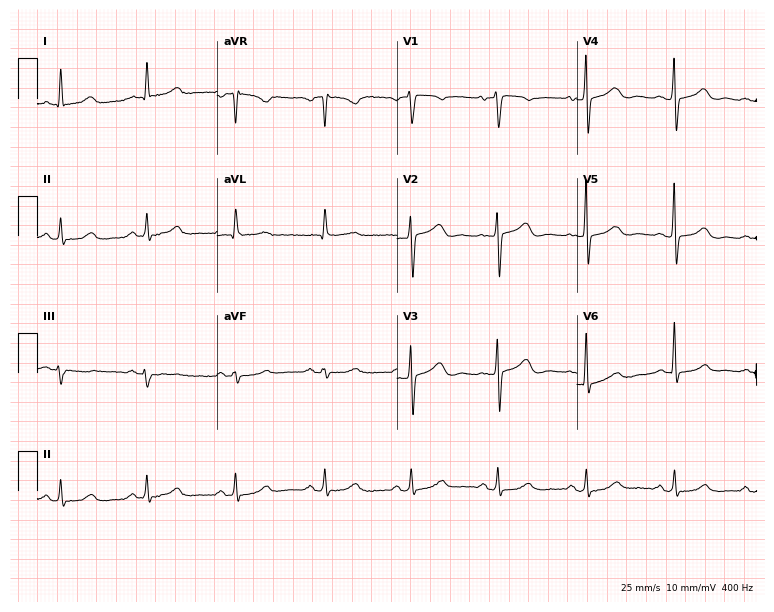
Electrocardiogram, a female, 62 years old. Of the six screened findings (first-degree AV block, right bundle branch block, left bundle branch block, sinus bradycardia, atrial fibrillation, sinus tachycardia), none is recorded. Other findings, if any, are not listed.